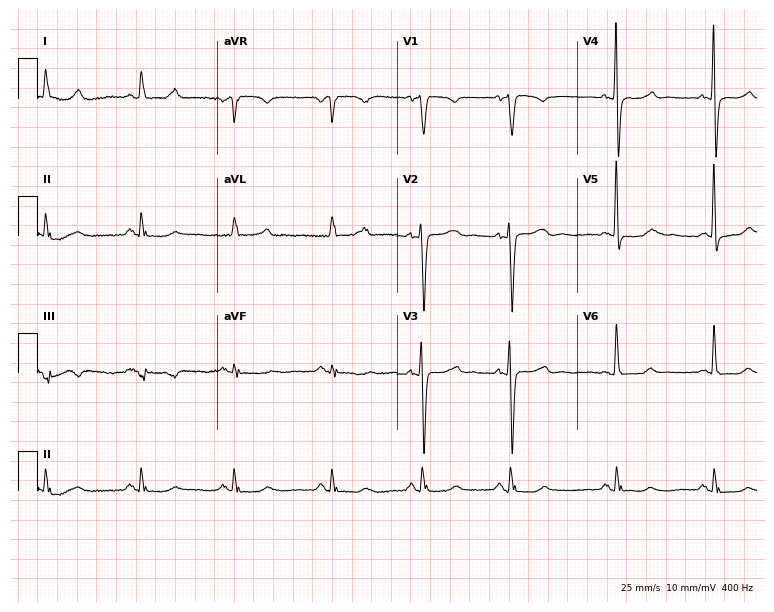
12-lead ECG (7.3-second recording at 400 Hz) from a woman, 80 years old. Screened for six findings — first-degree AV block, right bundle branch block (RBBB), left bundle branch block (LBBB), sinus bradycardia, atrial fibrillation (AF), sinus tachycardia — none is recorded.